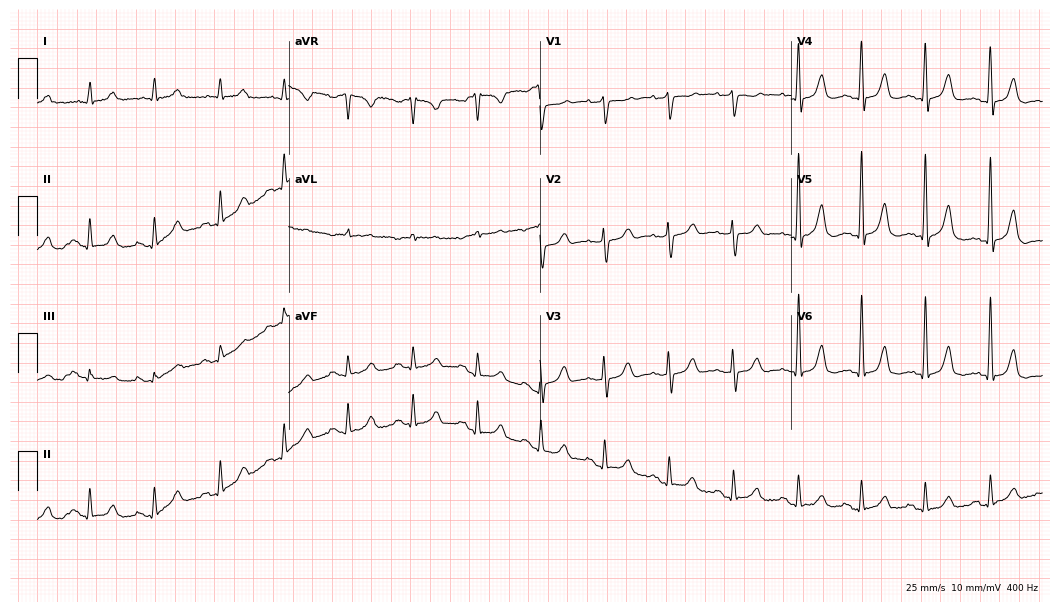
Standard 12-lead ECG recorded from an 80-year-old woman (10.2-second recording at 400 Hz). Read as a normal ECG.